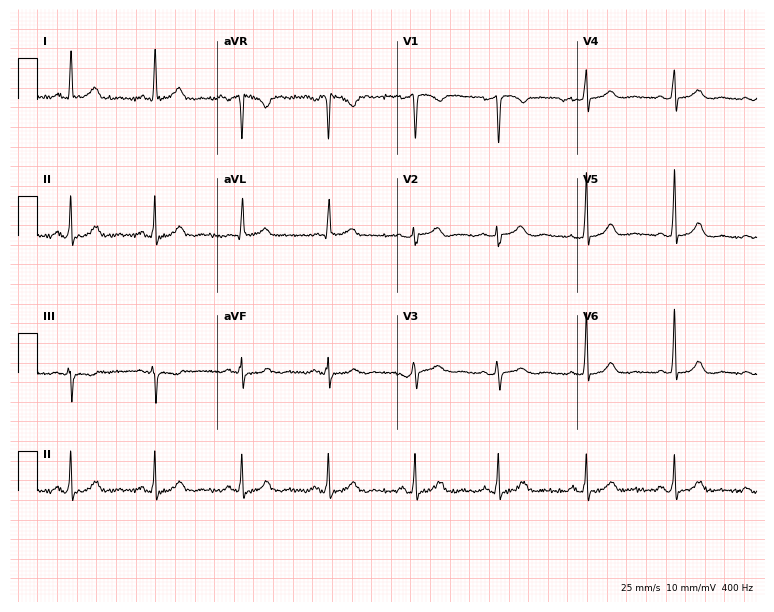
Resting 12-lead electrocardiogram. Patient: a female, 50 years old. None of these six findings is recorded: first-degree AV block, right bundle branch block, left bundle branch block, sinus bradycardia, atrial fibrillation, sinus tachycardia. Findings outside these six are not listed.